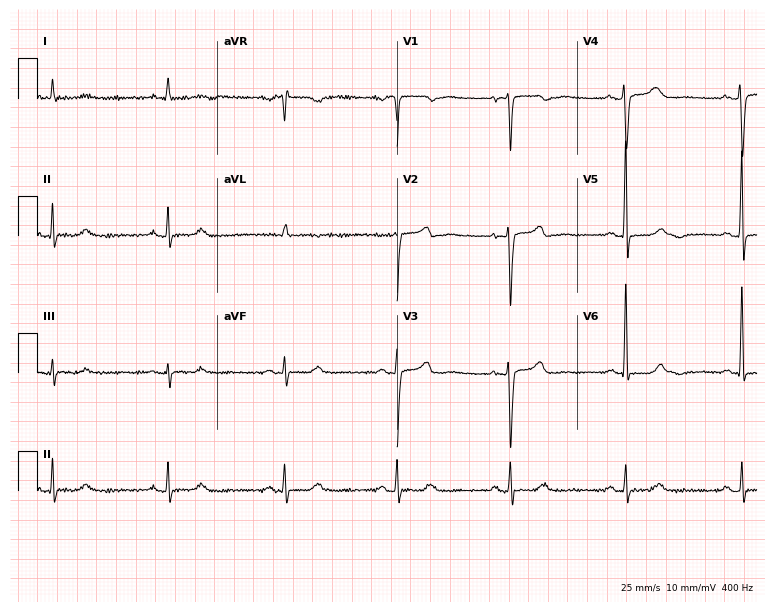
ECG (7.3-second recording at 400 Hz) — a female patient, 72 years old. Screened for six findings — first-degree AV block, right bundle branch block, left bundle branch block, sinus bradycardia, atrial fibrillation, sinus tachycardia — none is recorded. Other findings, if any, are not listed.